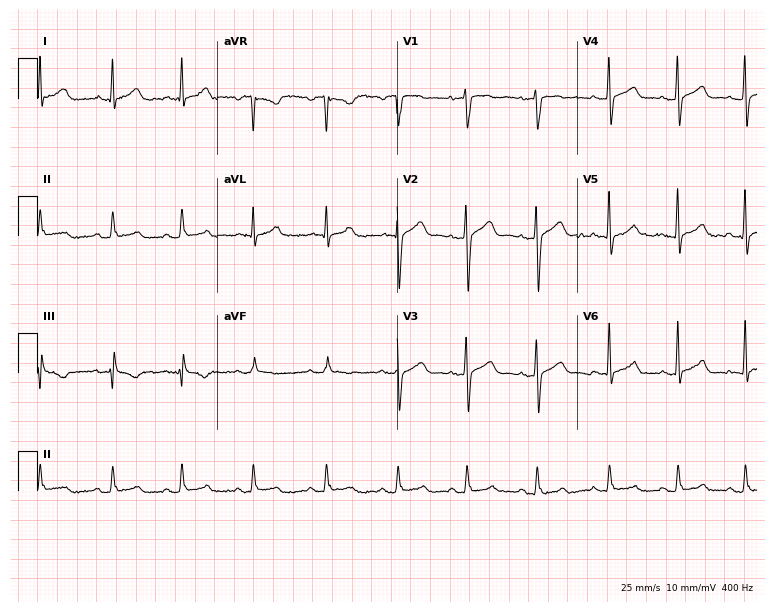
Resting 12-lead electrocardiogram. Patient: a male, 34 years old. Read as a normal ECG.